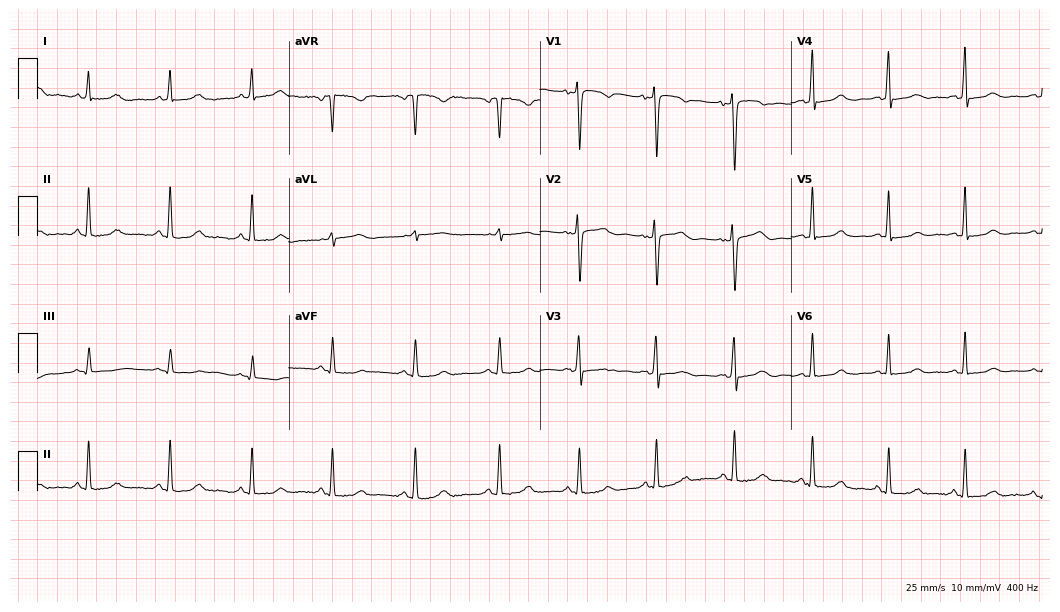
Standard 12-lead ECG recorded from a 49-year-old female. Read as a normal ECG.